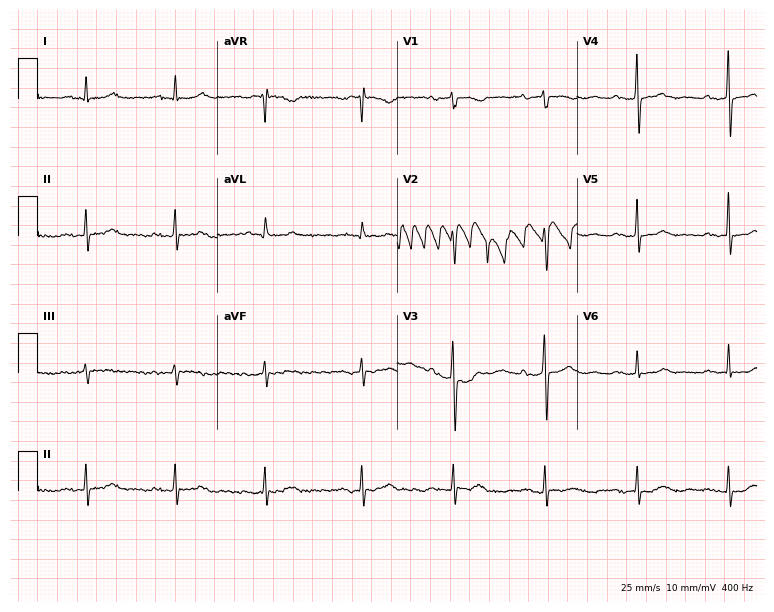
ECG — an 80-year-old female patient. Findings include first-degree AV block.